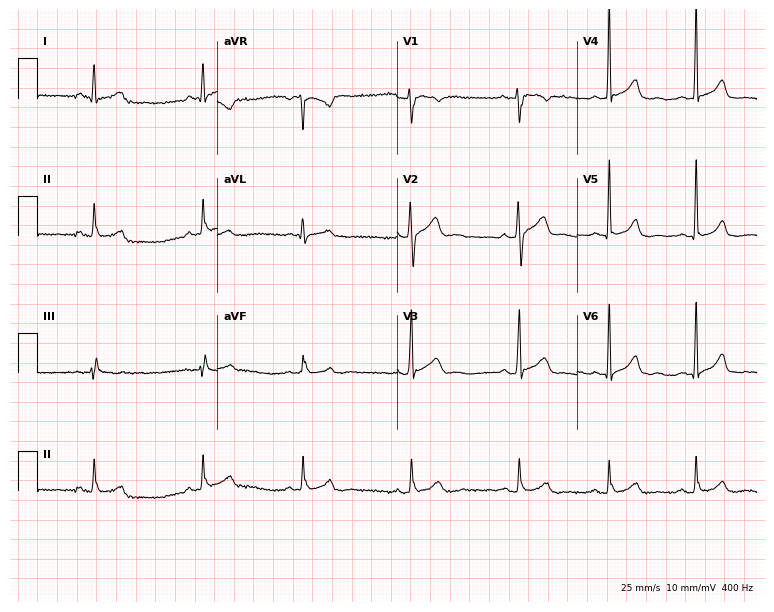
12-lead ECG from a 33-year-old male patient. No first-degree AV block, right bundle branch block (RBBB), left bundle branch block (LBBB), sinus bradycardia, atrial fibrillation (AF) or sinus tachycardia recorded for this tracing.